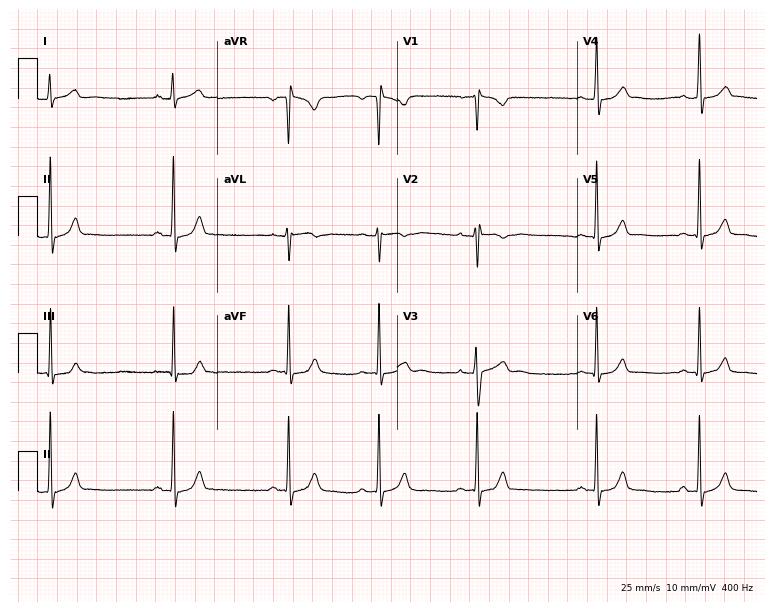
Standard 12-lead ECG recorded from a 20-year-old woman. Read as a normal ECG.